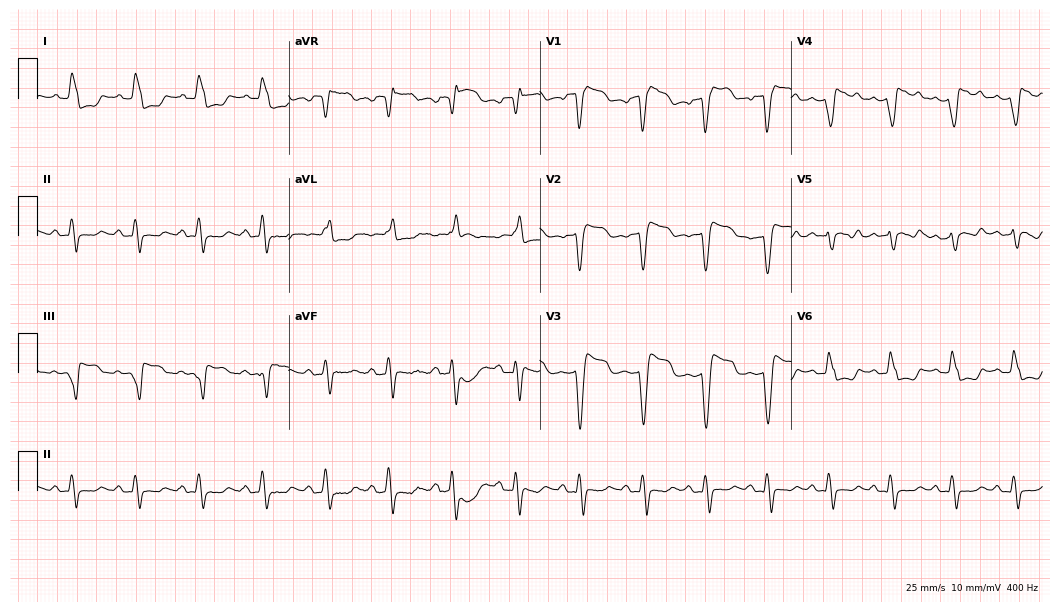
12-lead ECG from a 78-year-old male patient. No first-degree AV block, right bundle branch block, left bundle branch block, sinus bradycardia, atrial fibrillation or sinus tachycardia recorded for this tracing. Findings outside these six are not listed.